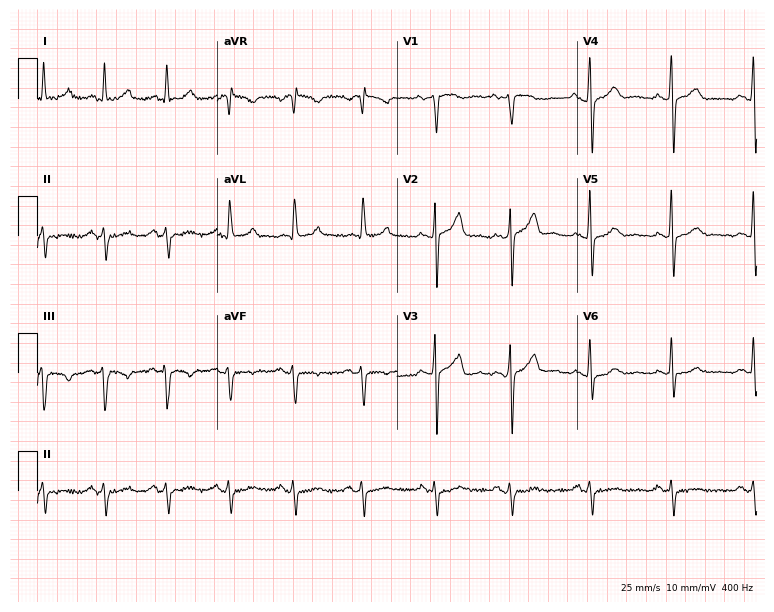
Standard 12-lead ECG recorded from a man, 54 years old (7.3-second recording at 400 Hz). None of these six findings is recorded: first-degree AV block, right bundle branch block, left bundle branch block, sinus bradycardia, atrial fibrillation, sinus tachycardia. Findings outside these six are not listed.